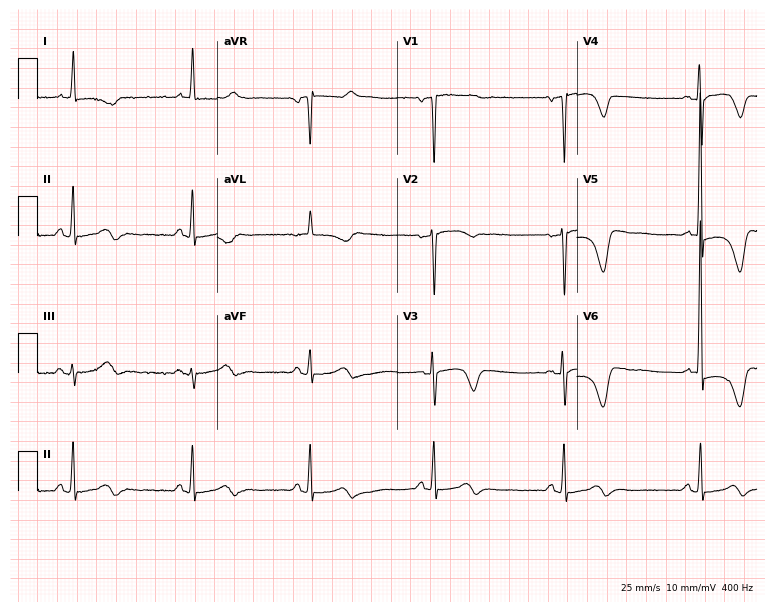
Electrocardiogram, a female, 84 years old. Of the six screened findings (first-degree AV block, right bundle branch block, left bundle branch block, sinus bradycardia, atrial fibrillation, sinus tachycardia), none is recorded.